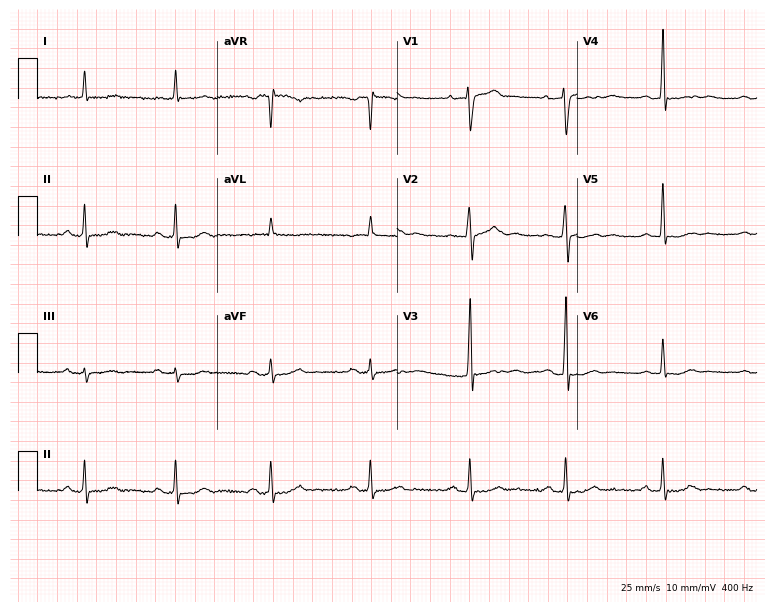
ECG (7.3-second recording at 400 Hz) — a 78-year-old man. Labelled as a normal ECG.